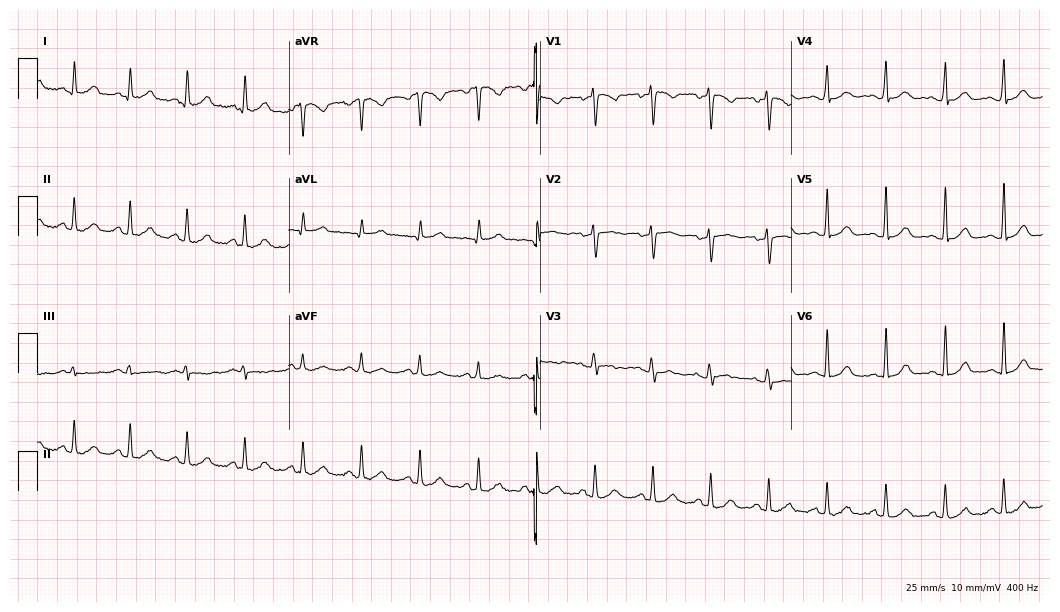
12-lead ECG from a 36-year-old female patient. Findings include sinus tachycardia (a sinus rate of 100 beats per minute or more).